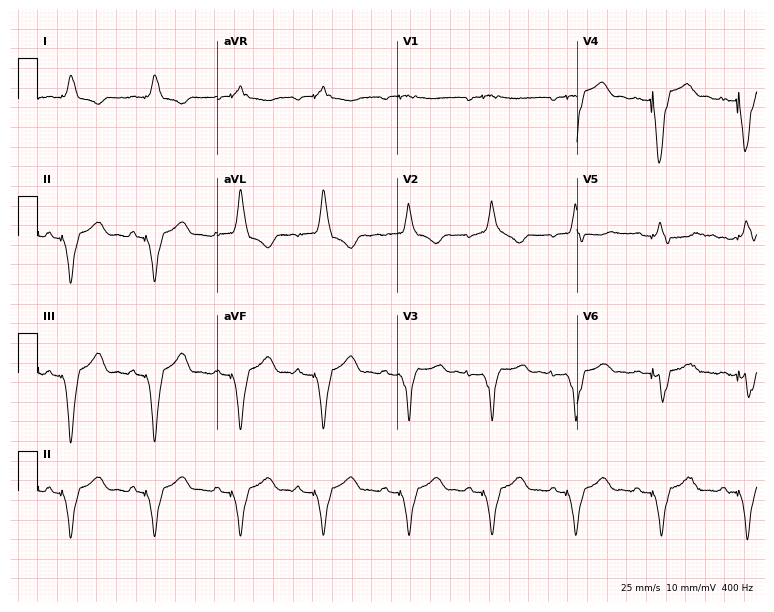
Resting 12-lead electrocardiogram. Patient: a woman, 53 years old. None of these six findings is recorded: first-degree AV block, right bundle branch block, left bundle branch block, sinus bradycardia, atrial fibrillation, sinus tachycardia.